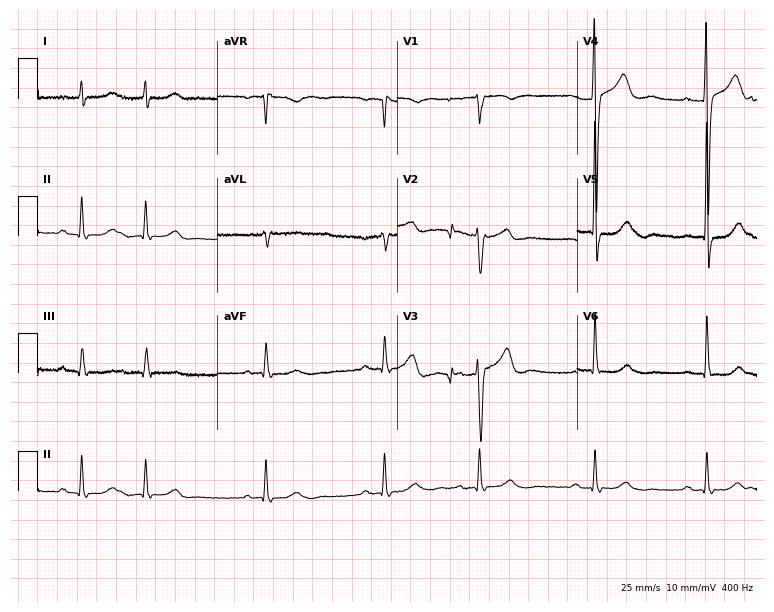
Electrocardiogram (7.3-second recording at 400 Hz), a 77-year-old man. Of the six screened findings (first-degree AV block, right bundle branch block (RBBB), left bundle branch block (LBBB), sinus bradycardia, atrial fibrillation (AF), sinus tachycardia), none is recorded. Findings outside these six are not listed.